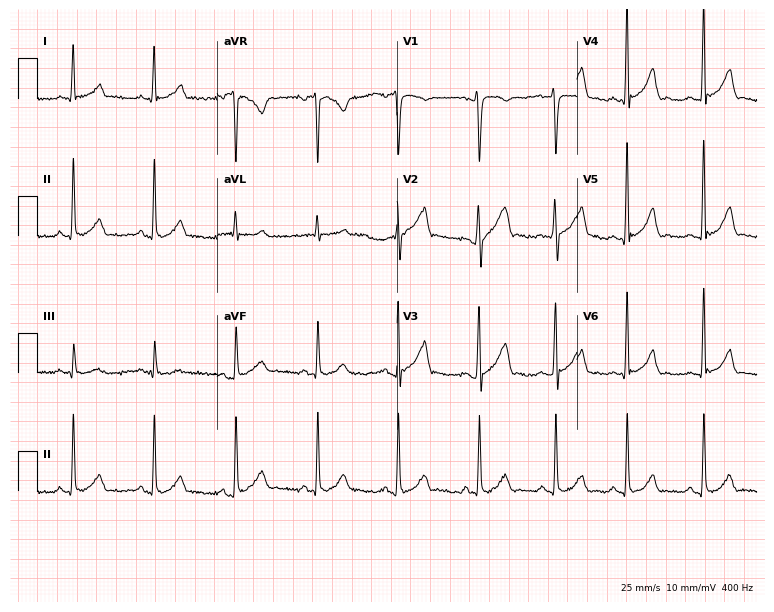
ECG (7.3-second recording at 400 Hz) — a male, 39 years old. Labelled as a normal ECG.